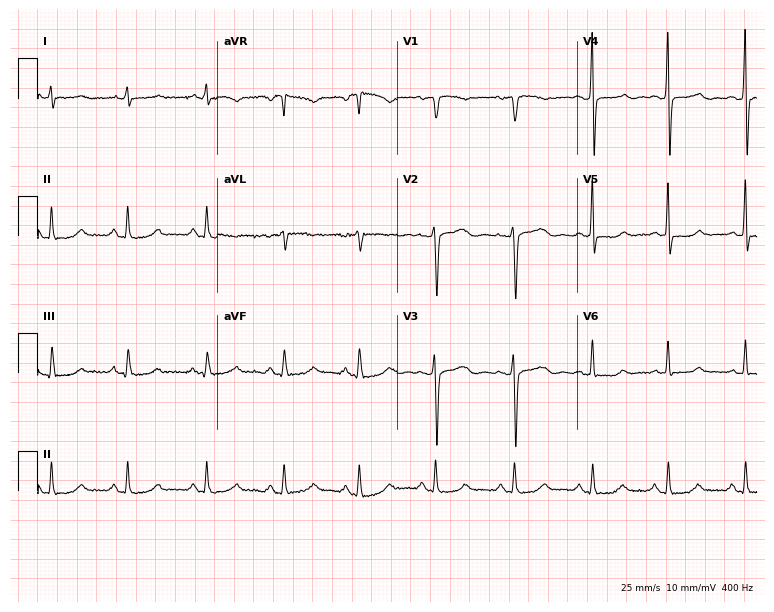
ECG — a female patient, 49 years old. Screened for six findings — first-degree AV block, right bundle branch block, left bundle branch block, sinus bradycardia, atrial fibrillation, sinus tachycardia — none is recorded. Only these six findings were labelled.